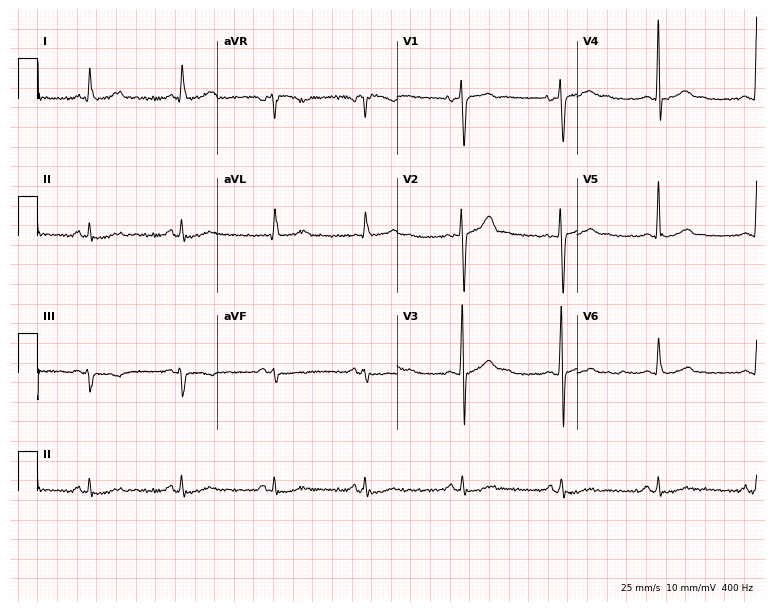
Electrocardiogram, a 38-year-old male. Overall reading on record: normal ECG.